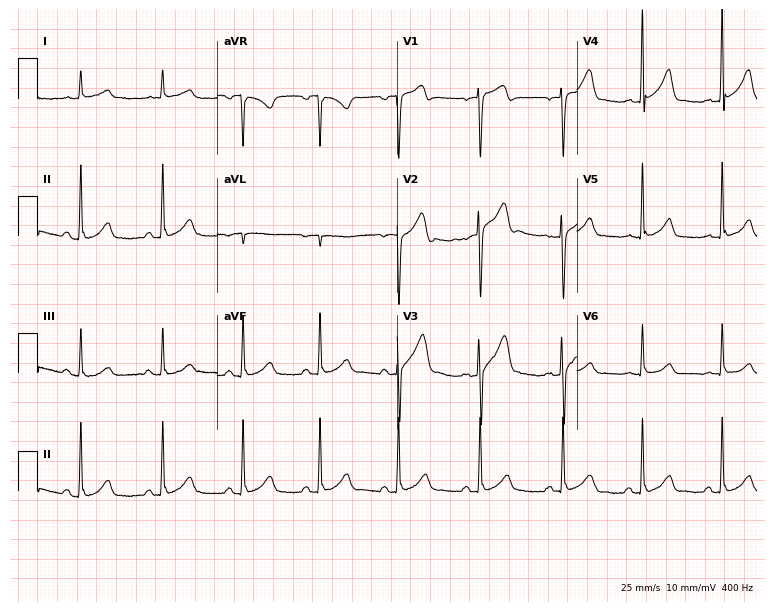
12-lead ECG from a 44-year-old male (7.3-second recording at 400 Hz). Recorded interpretation: within normal limits.